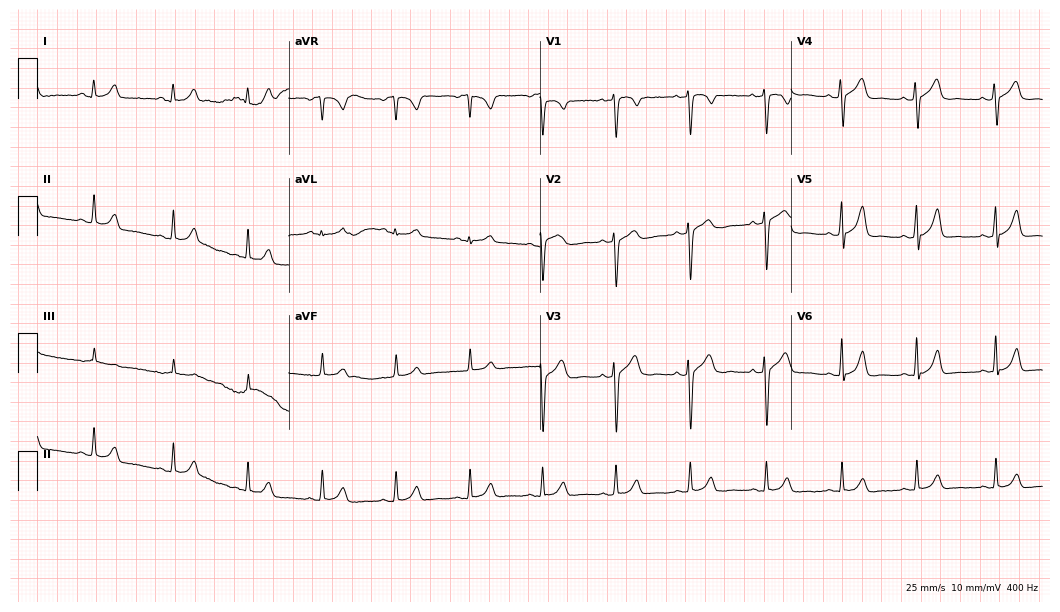
12-lead ECG (10.2-second recording at 400 Hz) from a woman, 24 years old. Labelled as a normal ECG.